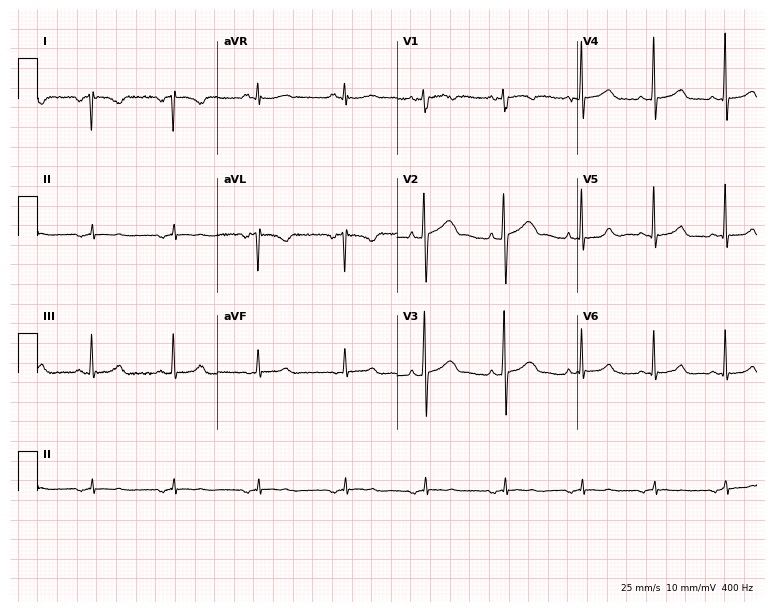
ECG — a female, 23 years old. Screened for six findings — first-degree AV block, right bundle branch block, left bundle branch block, sinus bradycardia, atrial fibrillation, sinus tachycardia — none is recorded.